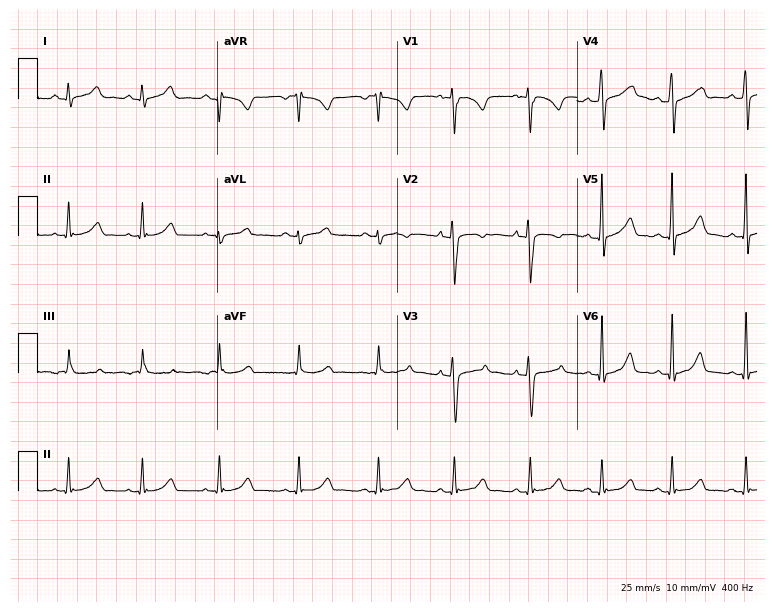
12-lead ECG from a 31-year-old female patient. Labelled as a normal ECG.